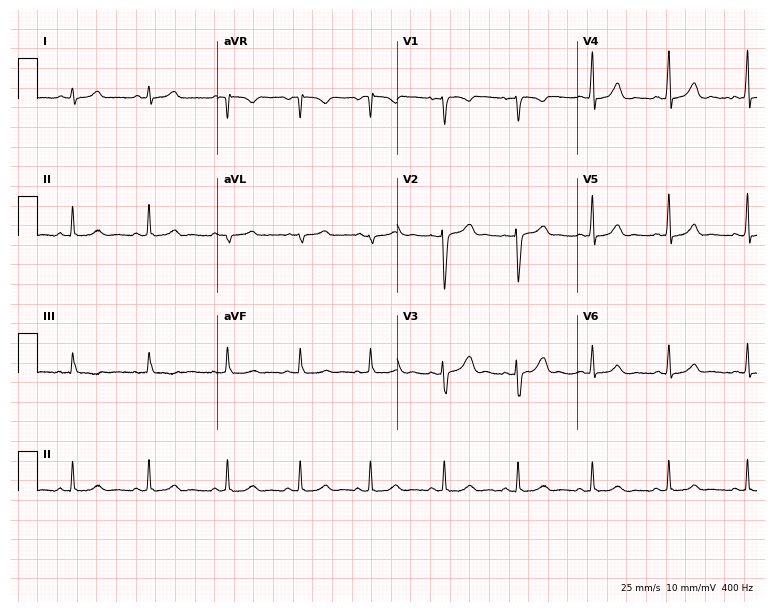
12-lead ECG from a 27-year-old female patient. No first-degree AV block, right bundle branch block, left bundle branch block, sinus bradycardia, atrial fibrillation or sinus tachycardia recorded for this tracing. Findings outside these six are not listed.